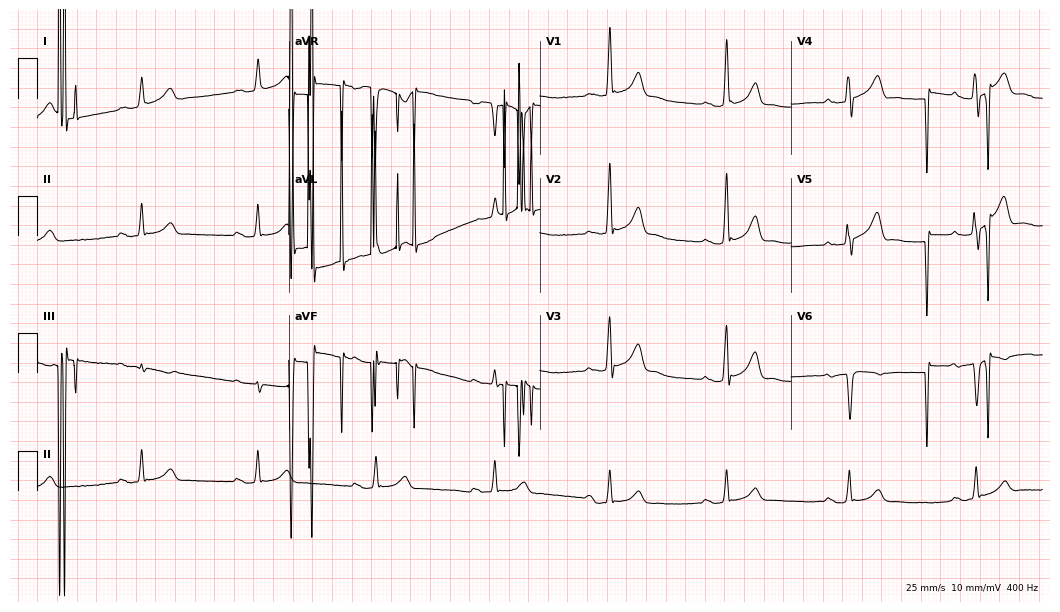
Standard 12-lead ECG recorded from a female patient, 82 years old. None of these six findings is recorded: first-degree AV block, right bundle branch block (RBBB), left bundle branch block (LBBB), sinus bradycardia, atrial fibrillation (AF), sinus tachycardia. Only these six findings were labelled.